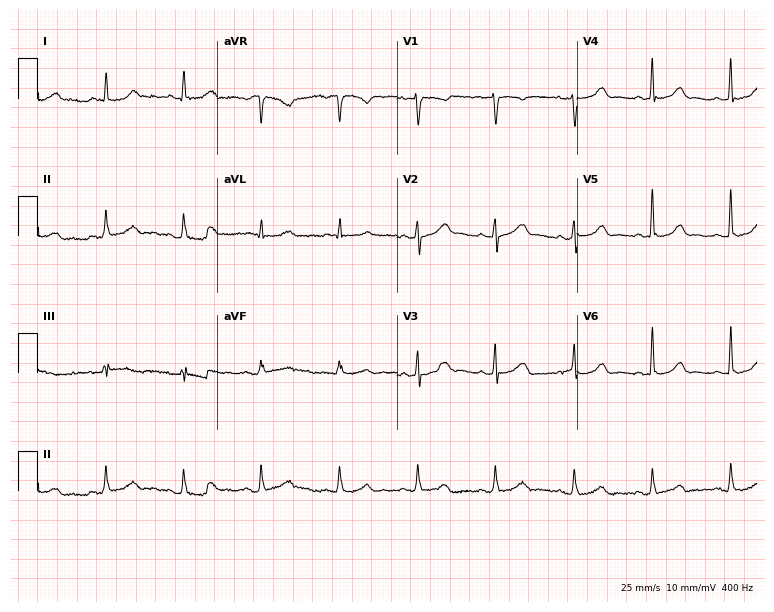
12-lead ECG from a woman, 43 years old (7.3-second recording at 400 Hz). No first-degree AV block, right bundle branch block, left bundle branch block, sinus bradycardia, atrial fibrillation or sinus tachycardia recorded for this tracing. Findings outside these six are not listed.